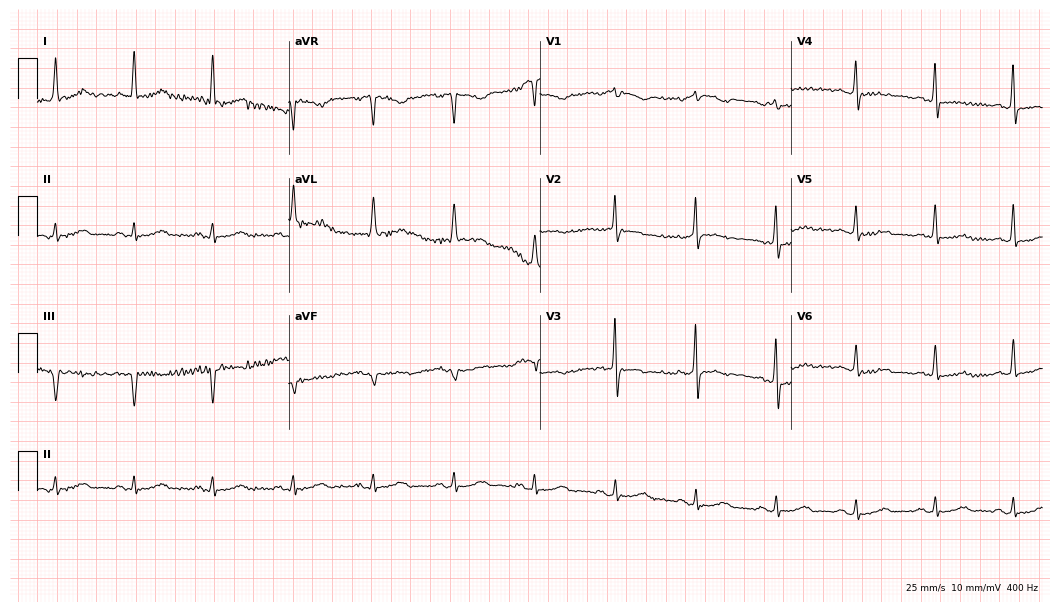
ECG (10.2-second recording at 400 Hz) — a 73-year-old female. Screened for six findings — first-degree AV block, right bundle branch block, left bundle branch block, sinus bradycardia, atrial fibrillation, sinus tachycardia — none is recorded.